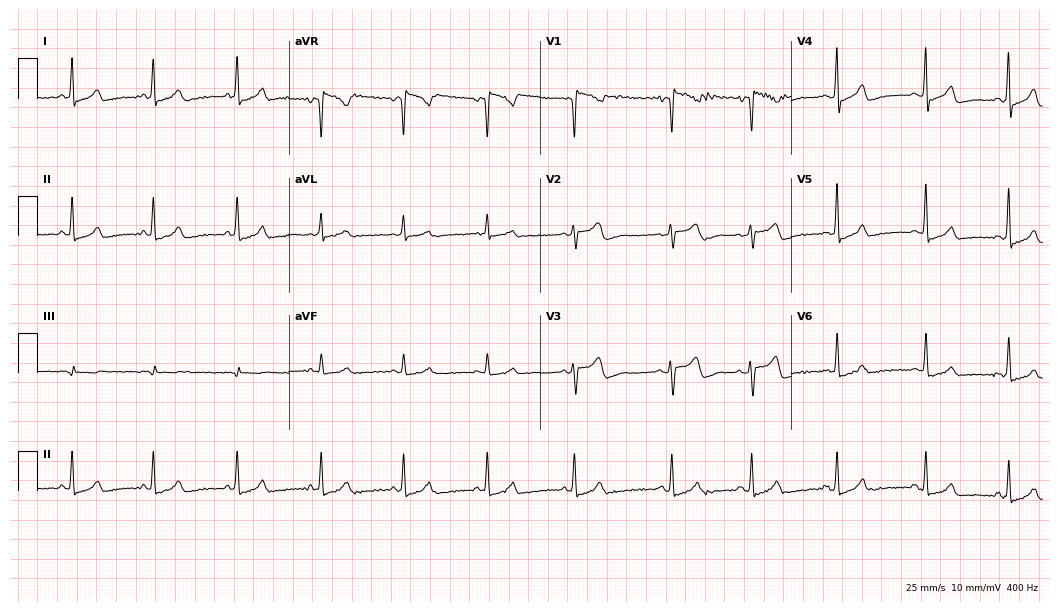
12-lead ECG (10.2-second recording at 400 Hz) from a female patient, 42 years old. Screened for six findings — first-degree AV block, right bundle branch block, left bundle branch block, sinus bradycardia, atrial fibrillation, sinus tachycardia — none is recorded. Only these six findings were labelled.